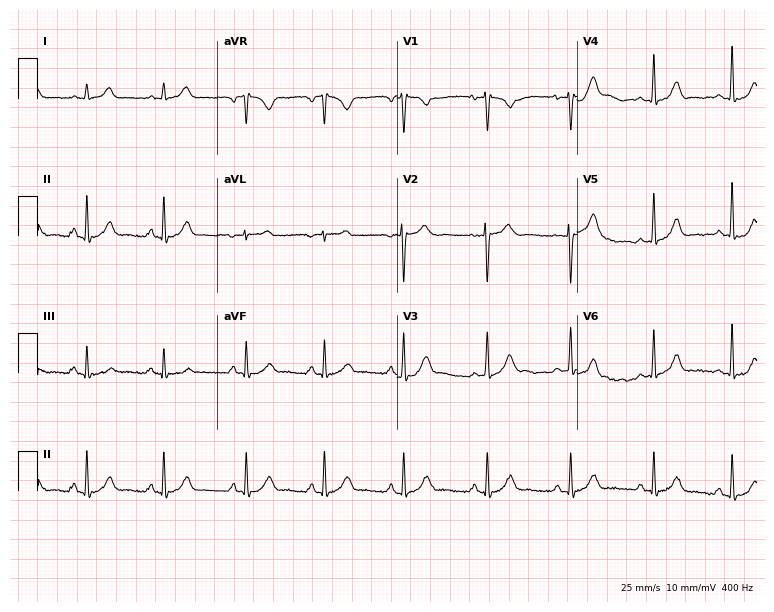
Resting 12-lead electrocardiogram. Patient: a 24-year-old female. Read as a normal ECG.